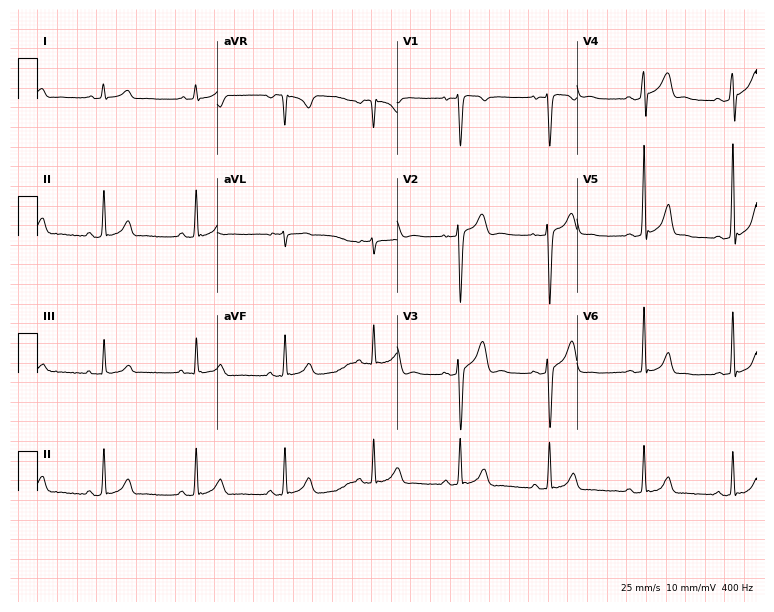
Standard 12-lead ECG recorded from a 29-year-old man. None of these six findings is recorded: first-degree AV block, right bundle branch block, left bundle branch block, sinus bradycardia, atrial fibrillation, sinus tachycardia. Findings outside these six are not listed.